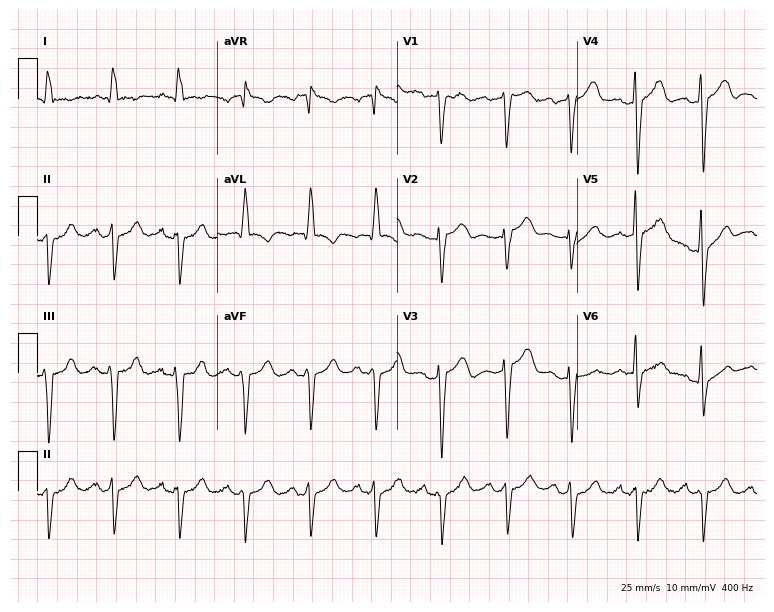
12-lead ECG from an 82-year-old male. Screened for six findings — first-degree AV block, right bundle branch block, left bundle branch block, sinus bradycardia, atrial fibrillation, sinus tachycardia — none is recorded. Findings outside these six are not listed.